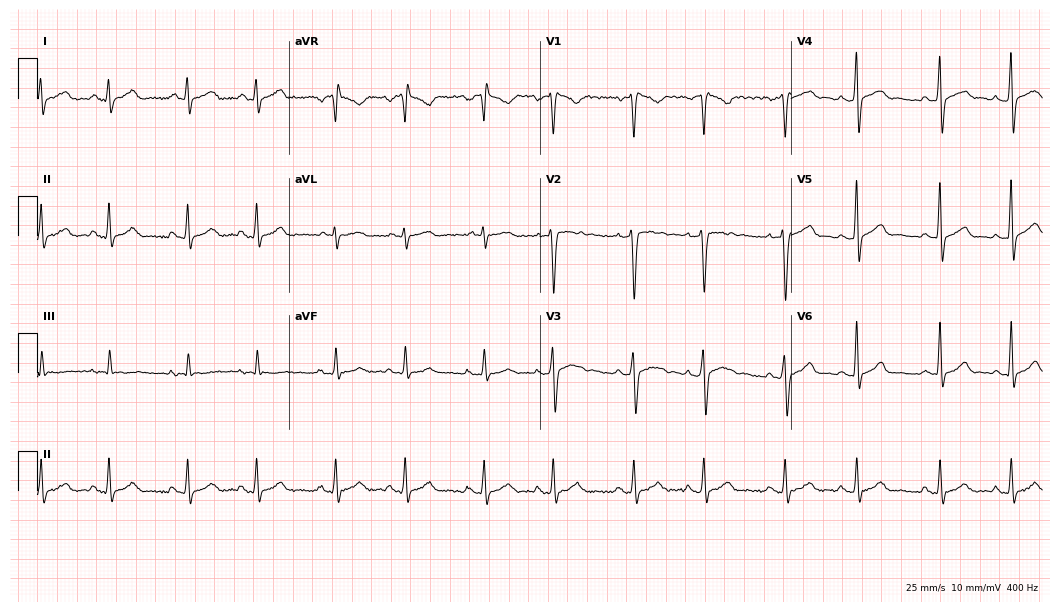
Electrocardiogram (10.2-second recording at 400 Hz), a male, 29 years old. Overall reading on record: normal ECG.